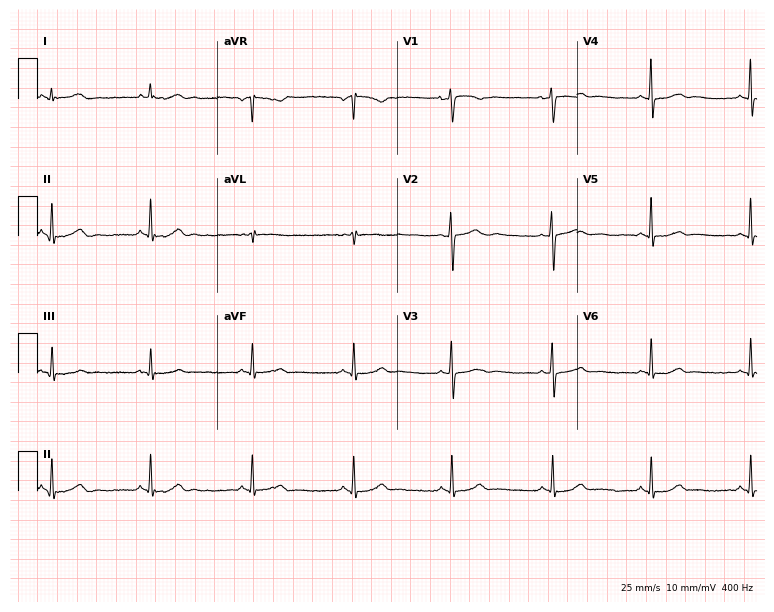
12-lead ECG from a 30-year-old woman. No first-degree AV block, right bundle branch block (RBBB), left bundle branch block (LBBB), sinus bradycardia, atrial fibrillation (AF) or sinus tachycardia recorded for this tracing. Findings outside these six are not listed.